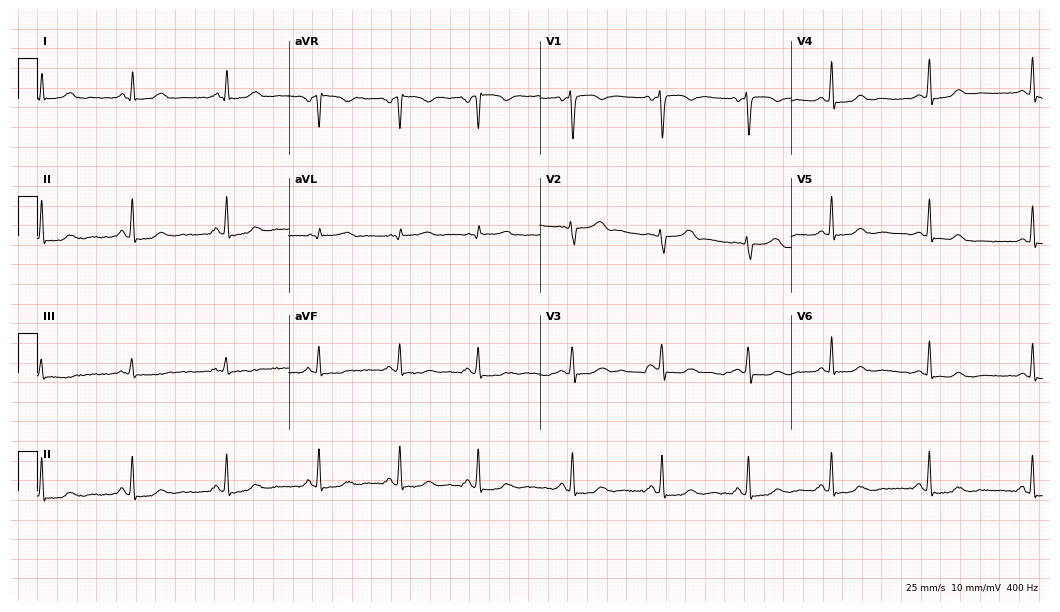
ECG (10.2-second recording at 400 Hz) — a 44-year-old male. Labelled as a normal ECG.